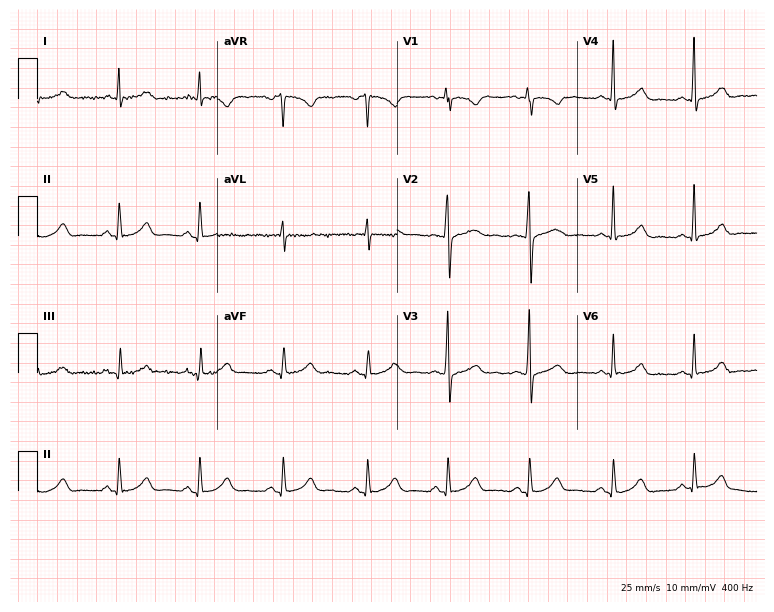
12-lead ECG from a 55-year-old woman. Labelled as a normal ECG.